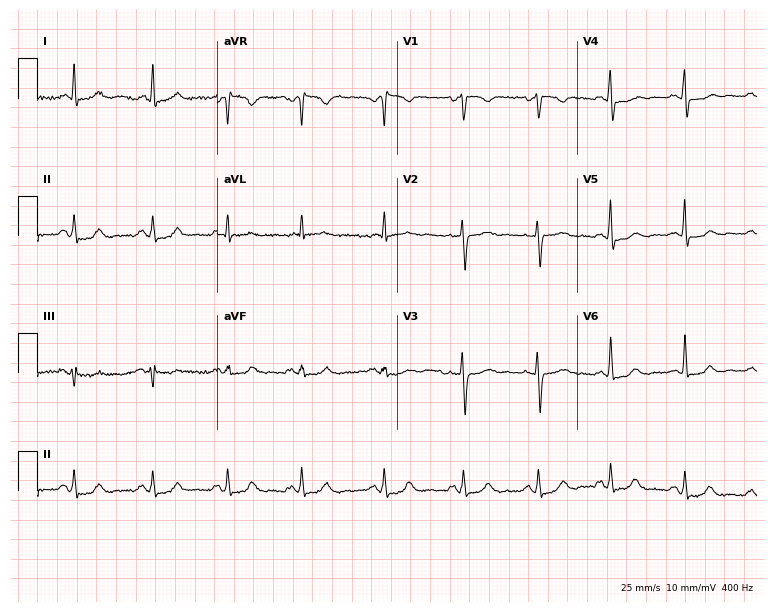
ECG — a 46-year-old female. Screened for six findings — first-degree AV block, right bundle branch block (RBBB), left bundle branch block (LBBB), sinus bradycardia, atrial fibrillation (AF), sinus tachycardia — none is recorded.